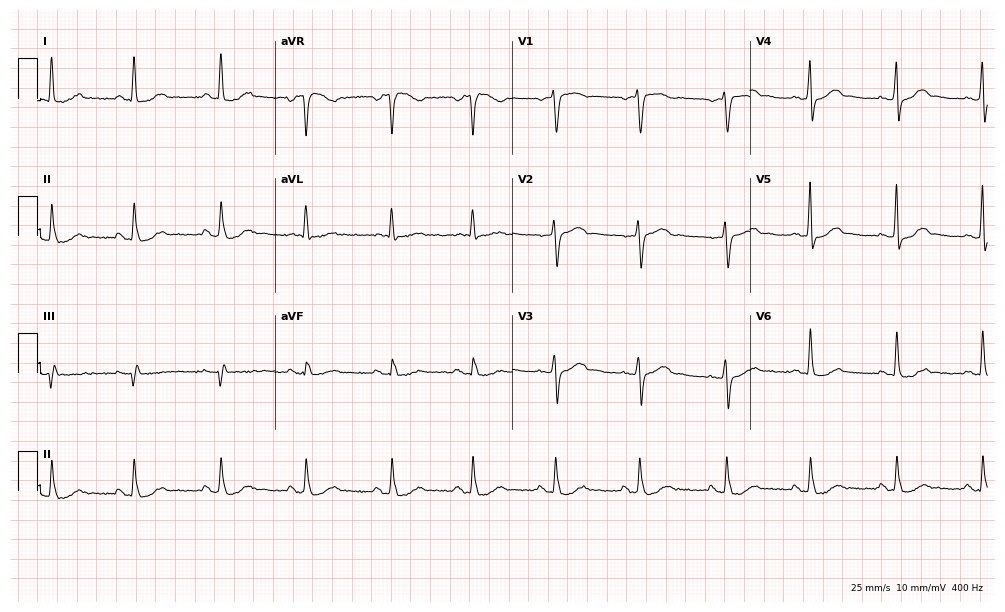
12-lead ECG from a female patient, 59 years old. Screened for six findings — first-degree AV block, right bundle branch block, left bundle branch block, sinus bradycardia, atrial fibrillation, sinus tachycardia — none is recorded.